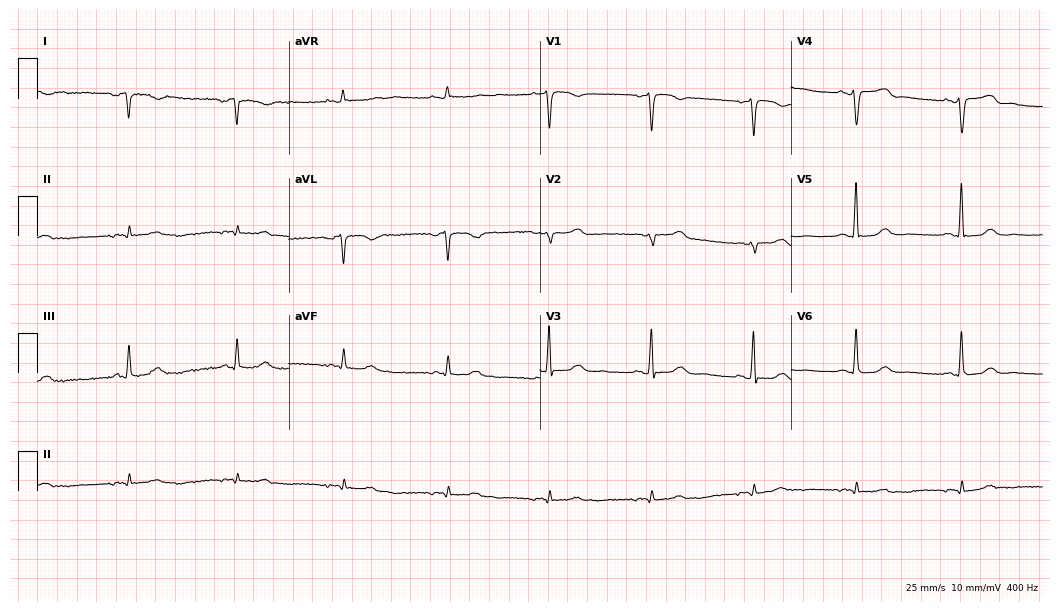
12-lead ECG from a male, 82 years old. No first-degree AV block, right bundle branch block, left bundle branch block, sinus bradycardia, atrial fibrillation or sinus tachycardia recorded for this tracing.